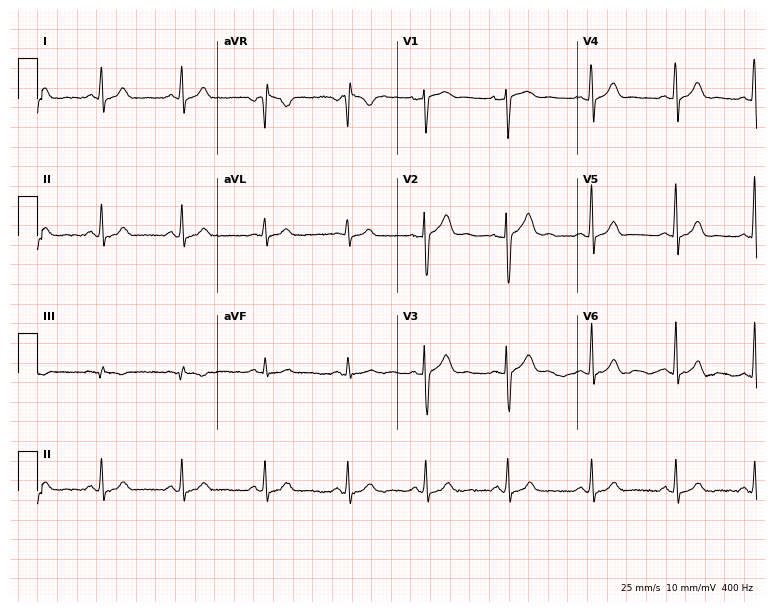
Electrocardiogram, a female, 29 years old. Overall reading on record: normal ECG.